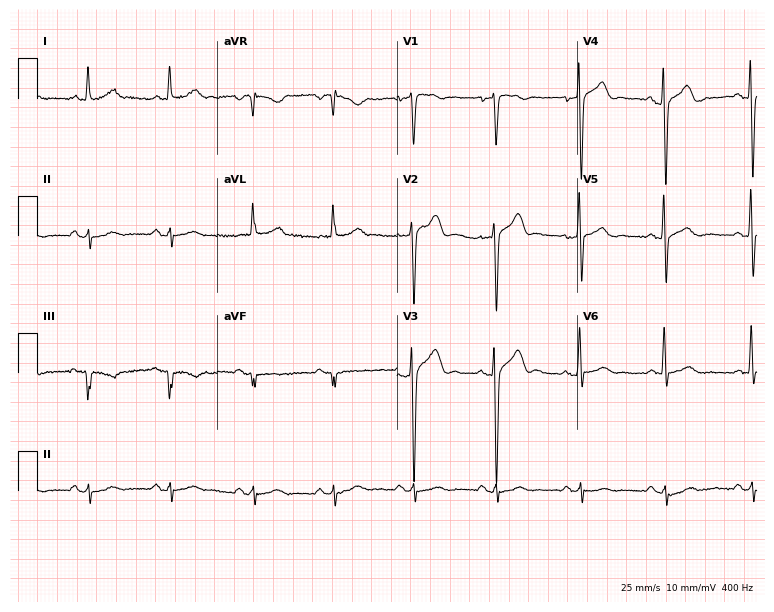
Standard 12-lead ECG recorded from a man, 41 years old. None of these six findings is recorded: first-degree AV block, right bundle branch block, left bundle branch block, sinus bradycardia, atrial fibrillation, sinus tachycardia.